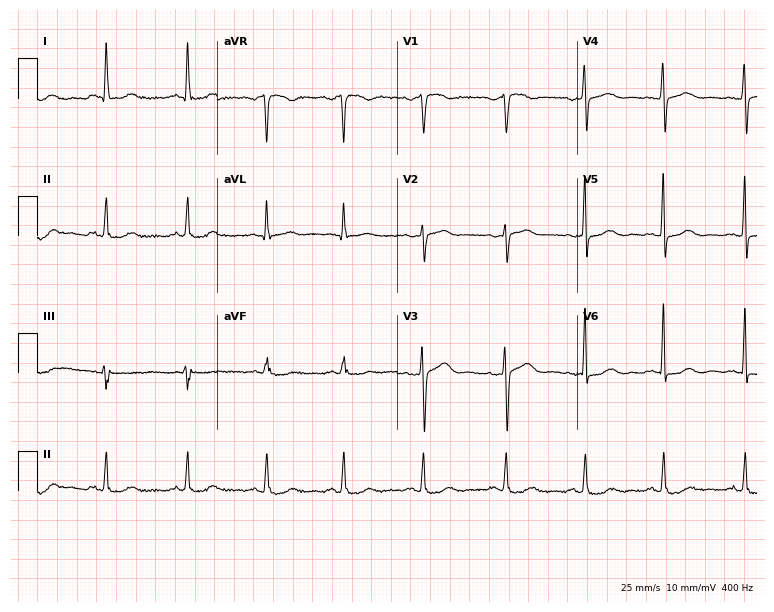
Standard 12-lead ECG recorded from a 61-year-old female patient. Read as a normal ECG.